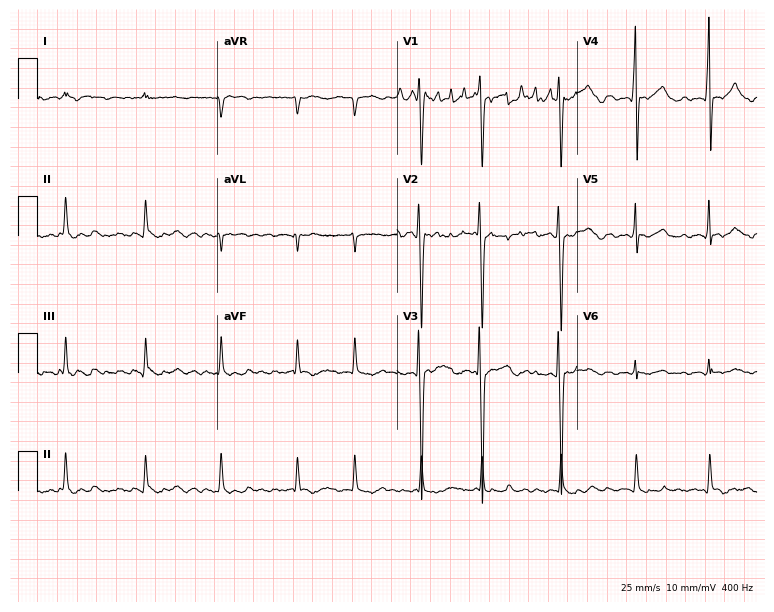
Standard 12-lead ECG recorded from a male, 35 years old. The tracing shows atrial fibrillation (AF).